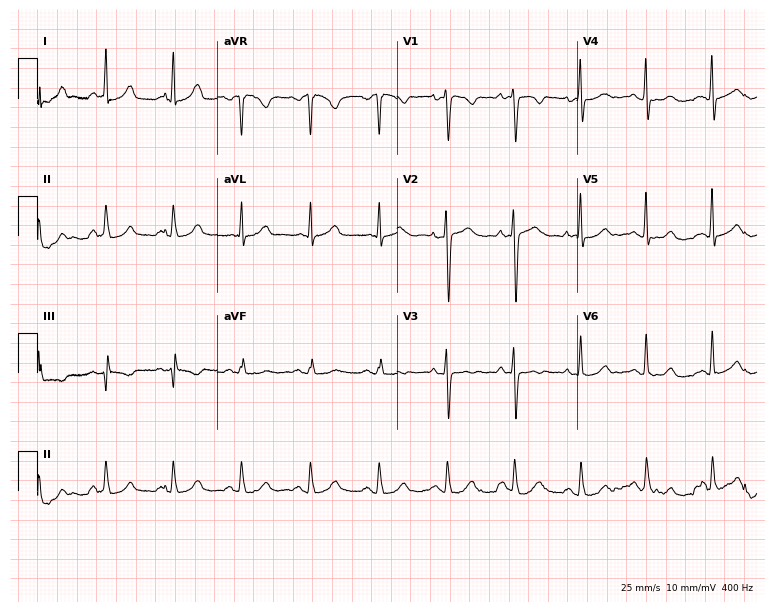
Electrocardiogram (7.3-second recording at 400 Hz), a female, 58 years old. Overall reading on record: normal ECG.